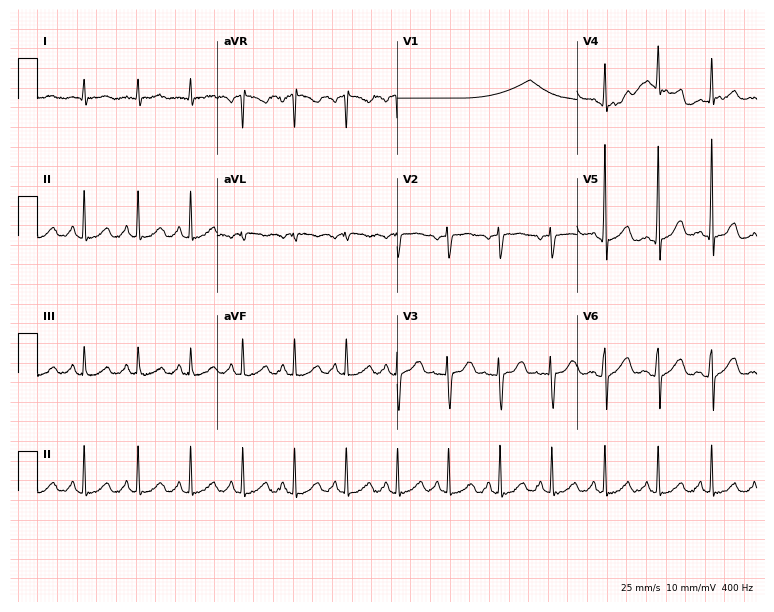
12-lead ECG from a 41-year-old female patient (7.3-second recording at 400 Hz). Shows sinus tachycardia (a sinus rate of 100 beats per minute or more).